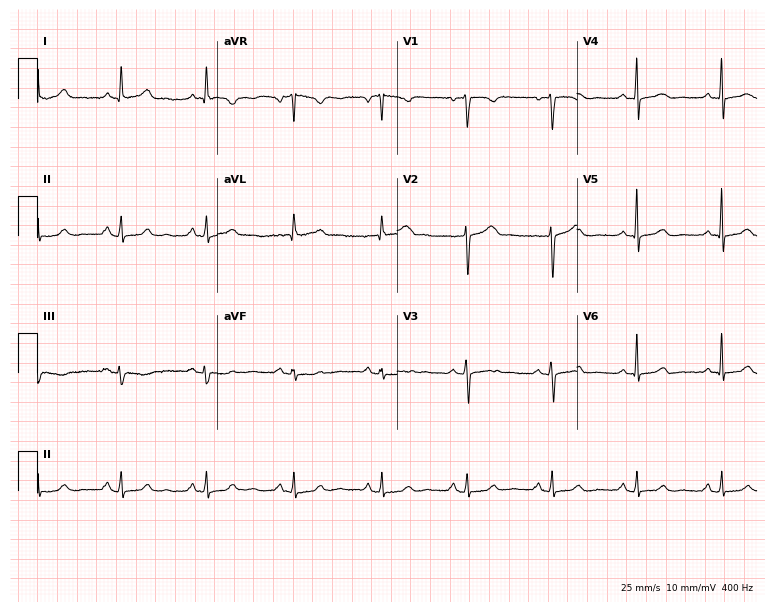
Standard 12-lead ECG recorded from a 55-year-old woman. Read as a normal ECG.